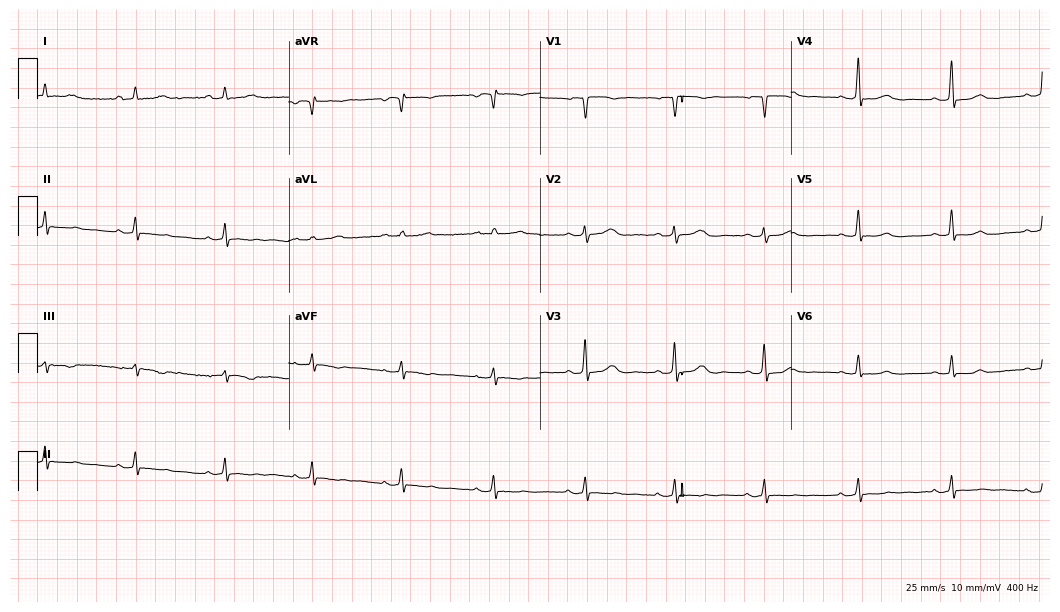
12-lead ECG (10.2-second recording at 400 Hz) from a 45-year-old woman. Screened for six findings — first-degree AV block, right bundle branch block (RBBB), left bundle branch block (LBBB), sinus bradycardia, atrial fibrillation (AF), sinus tachycardia — none is recorded. Other findings, if any, are not listed.